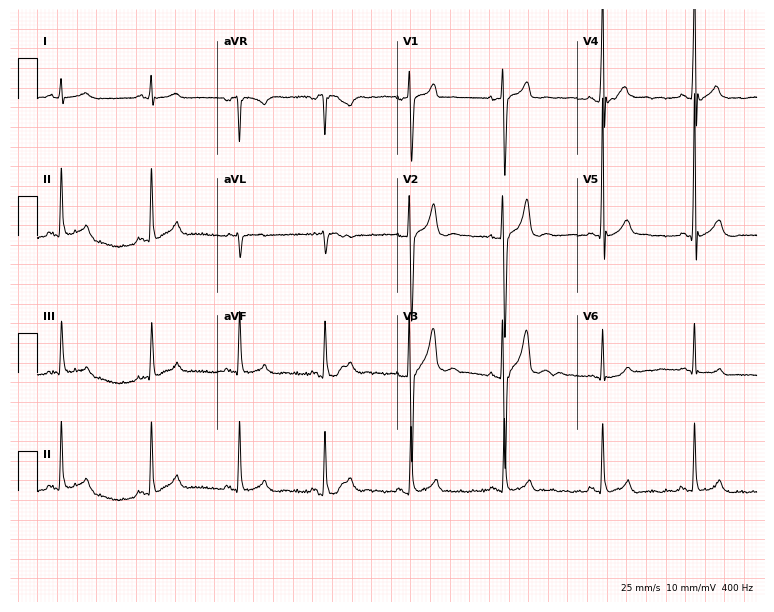
Resting 12-lead electrocardiogram (7.3-second recording at 400 Hz). Patient: a male, 25 years old. None of these six findings is recorded: first-degree AV block, right bundle branch block, left bundle branch block, sinus bradycardia, atrial fibrillation, sinus tachycardia.